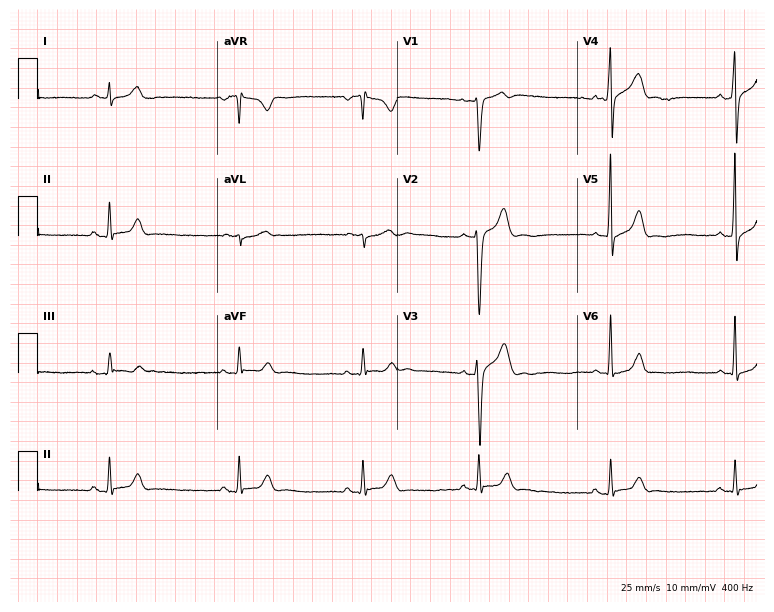
Standard 12-lead ECG recorded from a male, 24 years old (7.3-second recording at 400 Hz). The tracing shows sinus bradycardia (a sinus rate of 50 beats per minute or less).